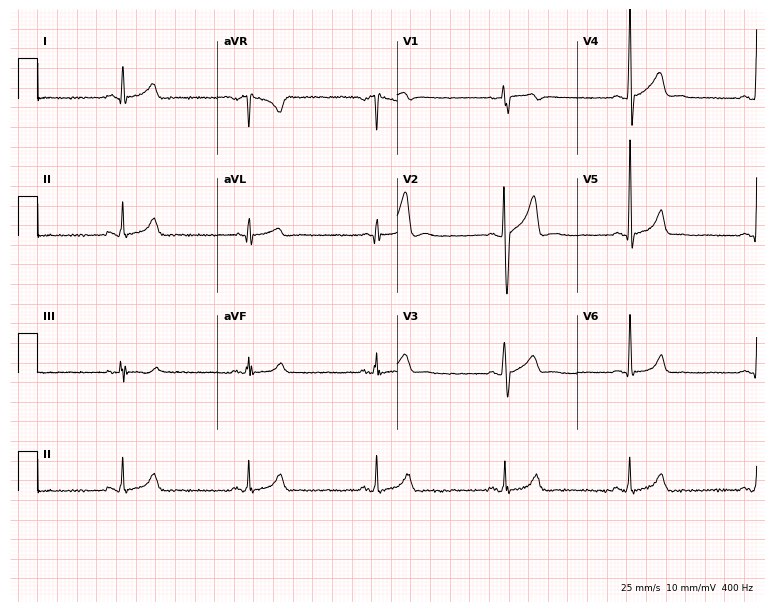
Resting 12-lead electrocardiogram. Patient: an 18-year-old man. The tracing shows sinus bradycardia (a sinus rate of 50 beats per minute or less).